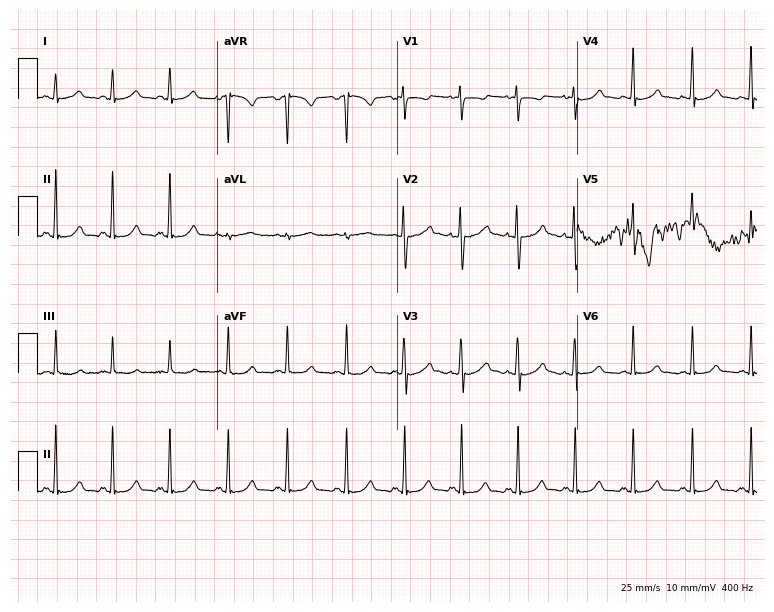
12-lead ECG from a 24-year-old woman. Recorded interpretation: within normal limits.